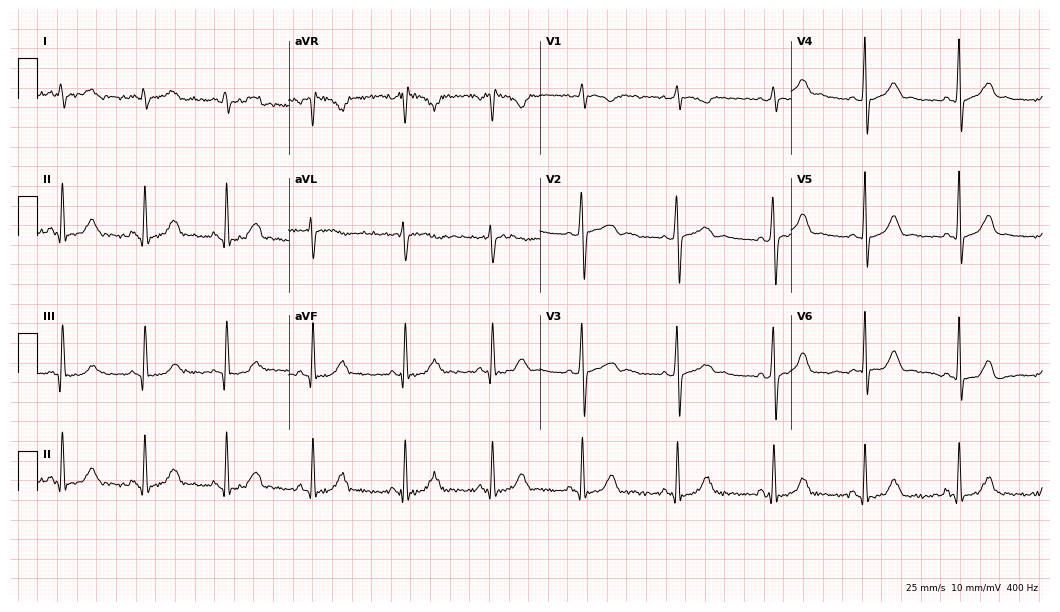
Standard 12-lead ECG recorded from a 31-year-old female (10.2-second recording at 400 Hz). None of these six findings is recorded: first-degree AV block, right bundle branch block, left bundle branch block, sinus bradycardia, atrial fibrillation, sinus tachycardia. Only these six findings were labelled.